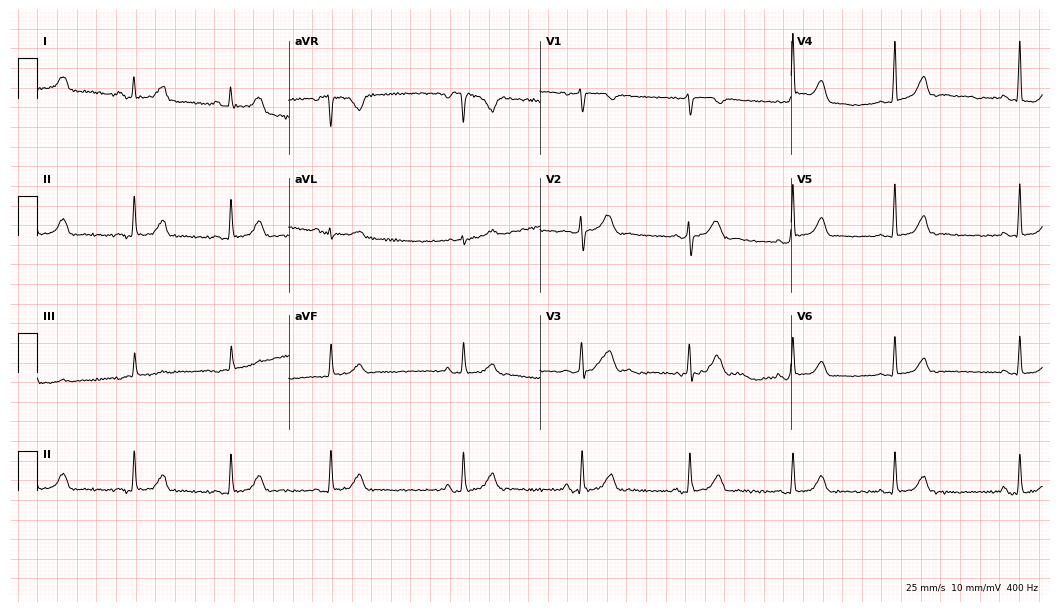
12-lead ECG (10.2-second recording at 400 Hz) from a 37-year-old female. Screened for six findings — first-degree AV block, right bundle branch block, left bundle branch block, sinus bradycardia, atrial fibrillation, sinus tachycardia — none is recorded.